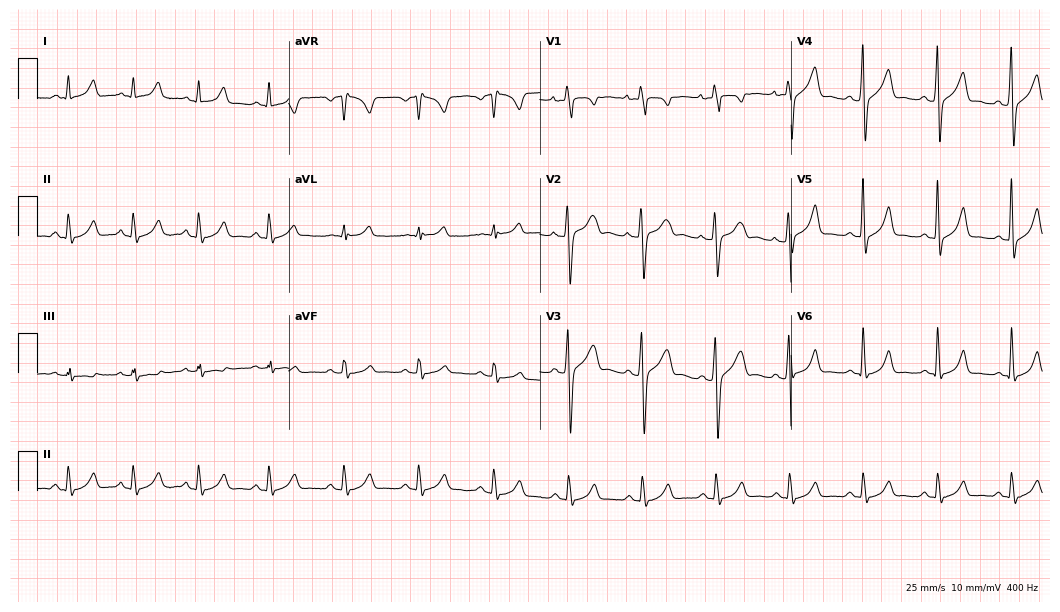
ECG — a 22-year-old man. Labelled as a normal ECG.